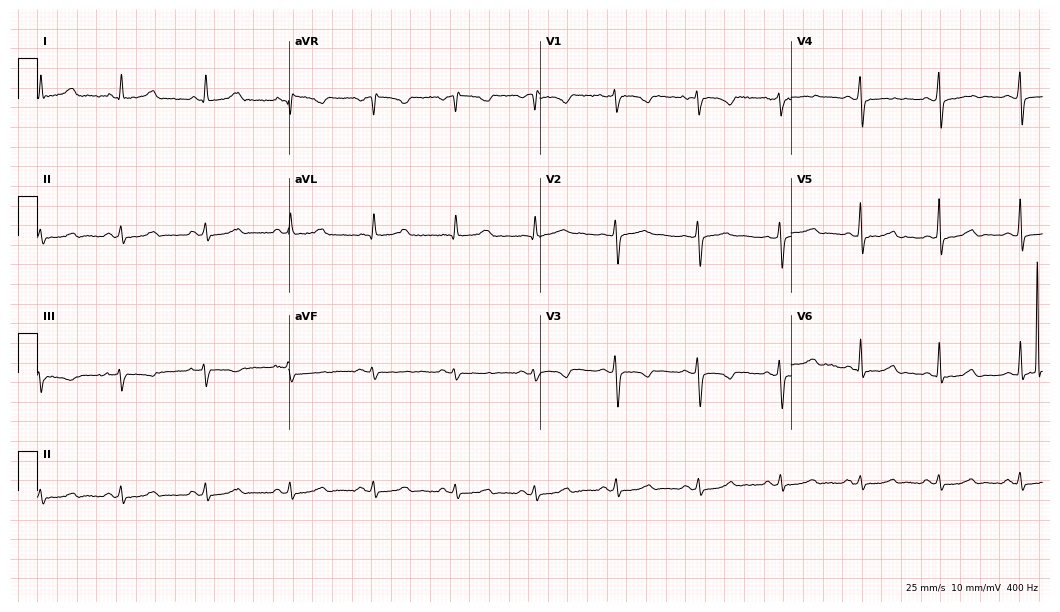
12-lead ECG from a female, 40 years old. Labelled as a normal ECG.